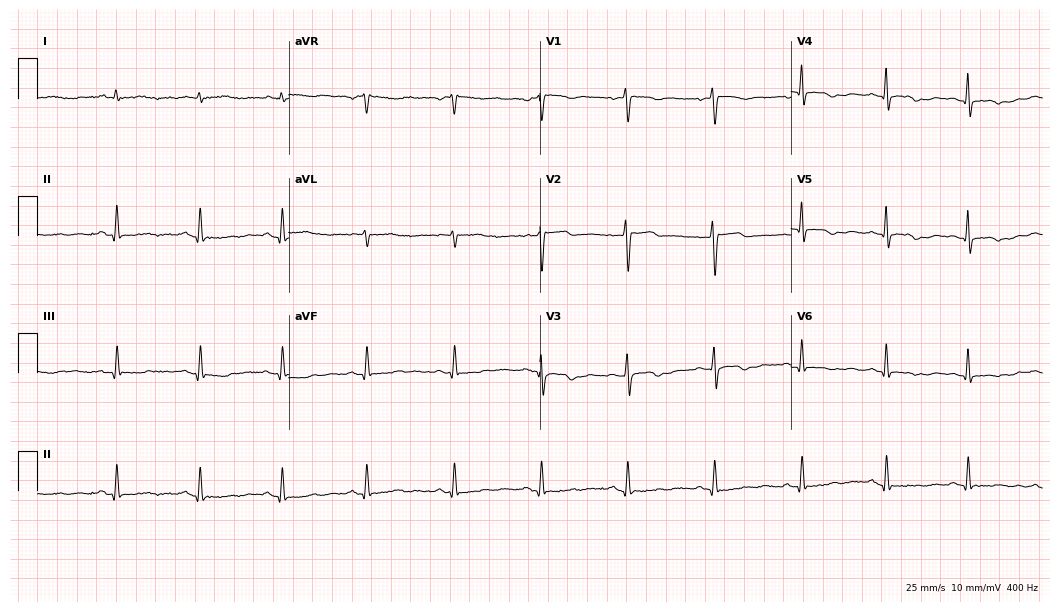
ECG (10.2-second recording at 400 Hz) — a female patient, 18 years old. Screened for six findings — first-degree AV block, right bundle branch block, left bundle branch block, sinus bradycardia, atrial fibrillation, sinus tachycardia — none is recorded.